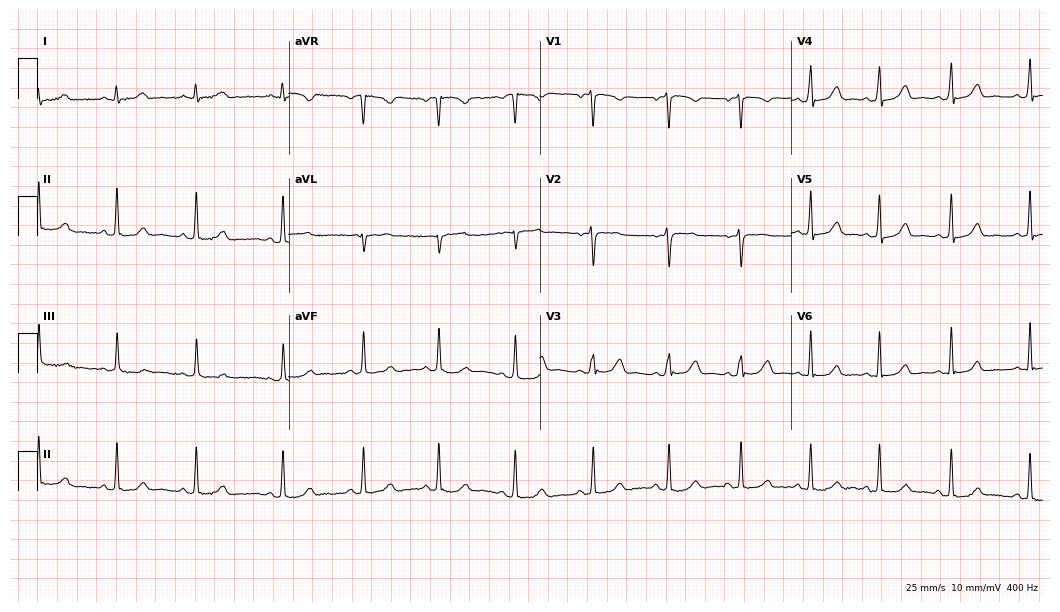
12-lead ECG from a female, 21 years old. Labelled as a normal ECG.